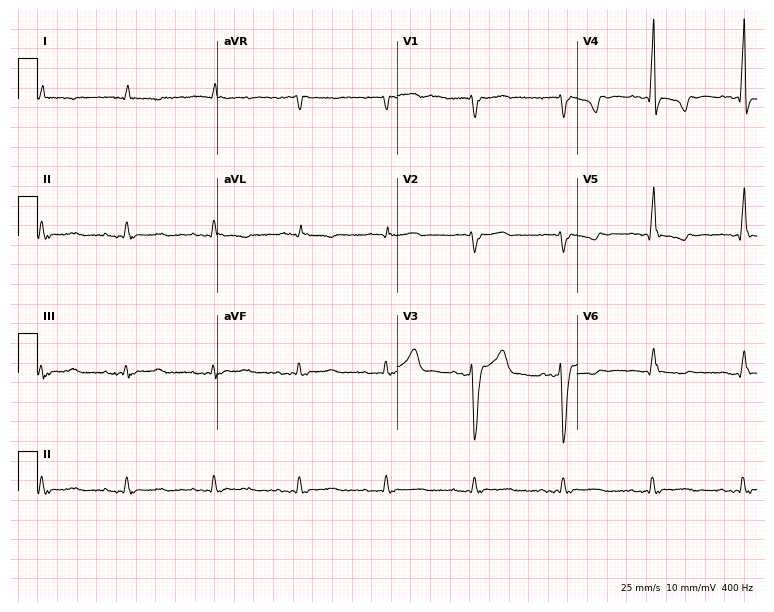
Resting 12-lead electrocardiogram (7.3-second recording at 400 Hz). Patient: a 62-year-old man. None of these six findings is recorded: first-degree AV block, right bundle branch block (RBBB), left bundle branch block (LBBB), sinus bradycardia, atrial fibrillation (AF), sinus tachycardia.